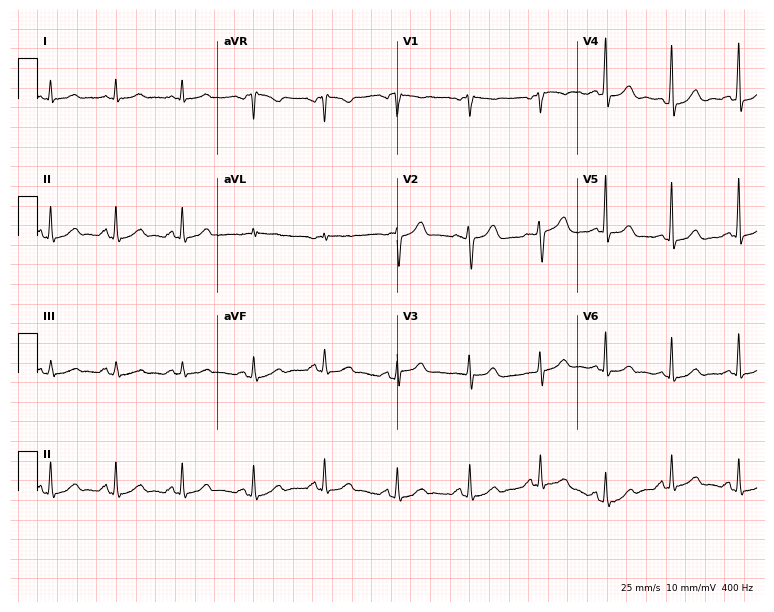
ECG (7.3-second recording at 400 Hz) — a woman, 35 years old. Labelled as a normal ECG.